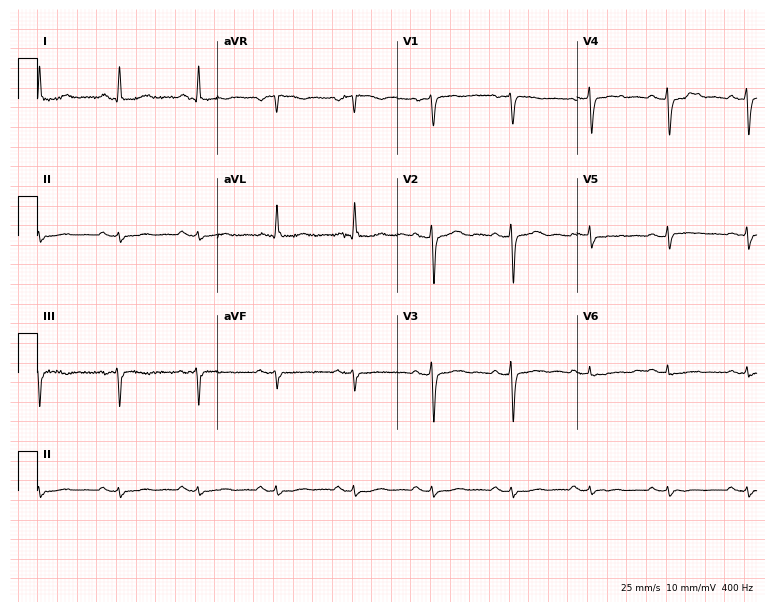
Standard 12-lead ECG recorded from a female, 67 years old. None of these six findings is recorded: first-degree AV block, right bundle branch block (RBBB), left bundle branch block (LBBB), sinus bradycardia, atrial fibrillation (AF), sinus tachycardia.